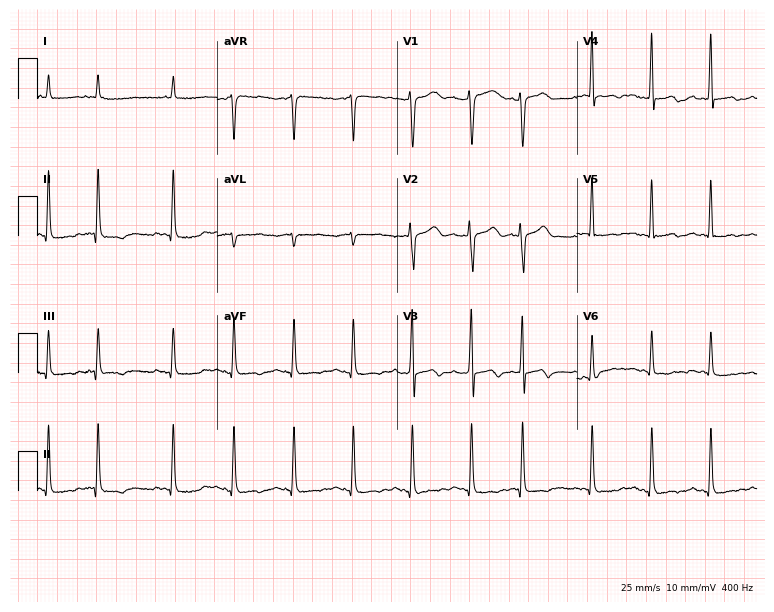
ECG — a 37-year-old female. Screened for six findings — first-degree AV block, right bundle branch block, left bundle branch block, sinus bradycardia, atrial fibrillation, sinus tachycardia — none is recorded. Only these six findings were labelled.